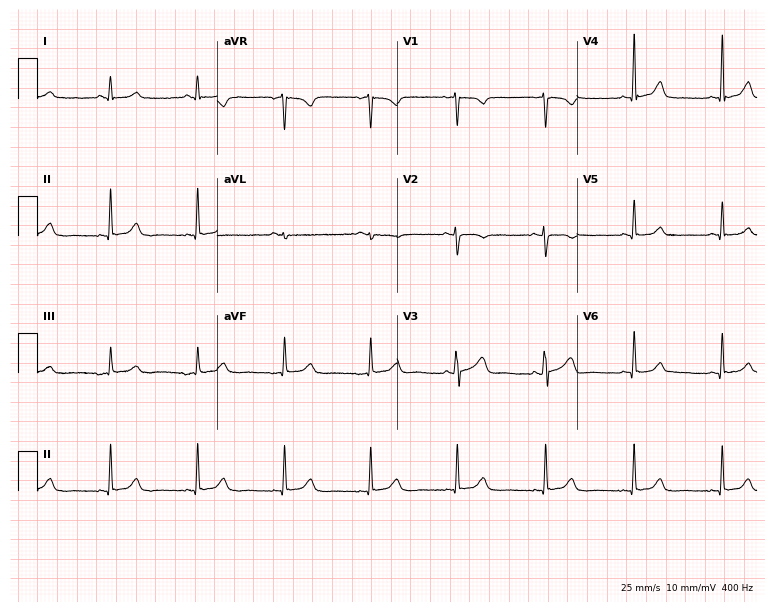
Standard 12-lead ECG recorded from a woman, 32 years old (7.3-second recording at 400 Hz). None of these six findings is recorded: first-degree AV block, right bundle branch block, left bundle branch block, sinus bradycardia, atrial fibrillation, sinus tachycardia.